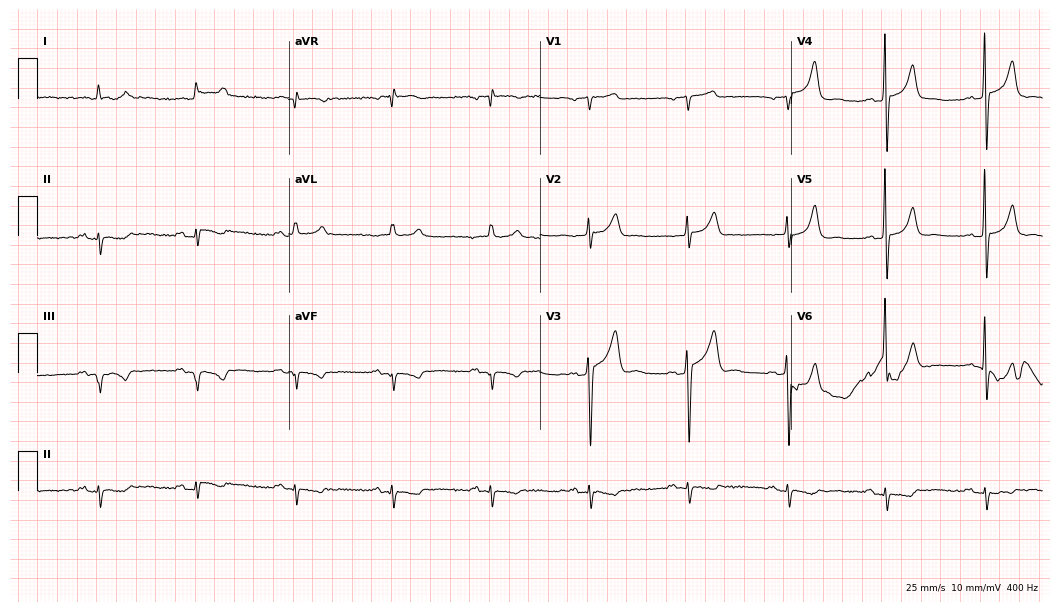
Electrocardiogram (10.2-second recording at 400 Hz), a male patient, 76 years old. Of the six screened findings (first-degree AV block, right bundle branch block (RBBB), left bundle branch block (LBBB), sinus bradycardia, atrial fibrillation (AF), sinus tachycardia), none is recorded.